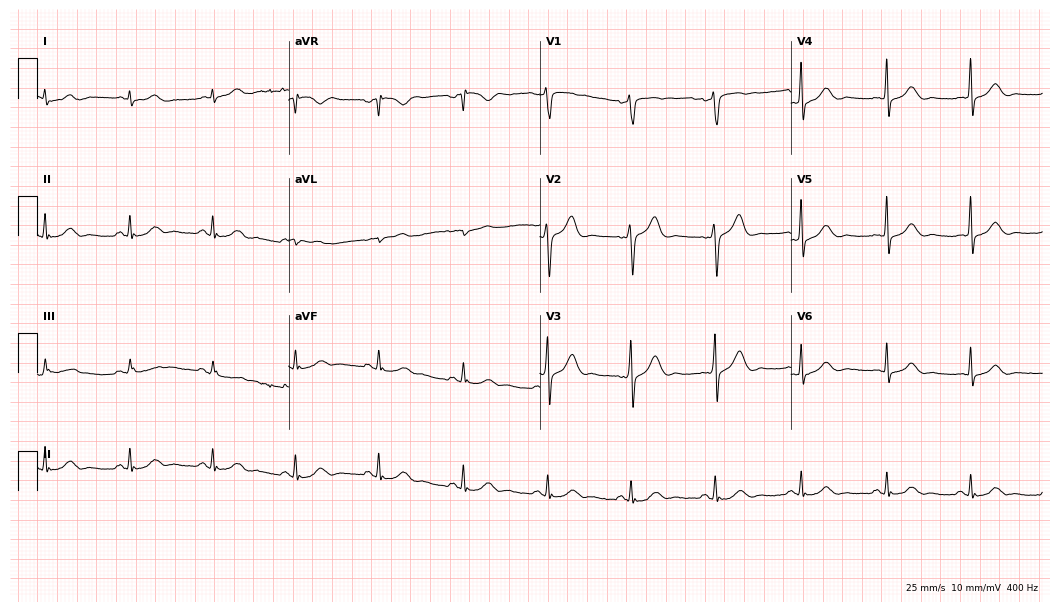
Electrocardiogram (10.2-second recording at 400 Hz), a 53-year-old male. Overall reading on record: normal ECG.